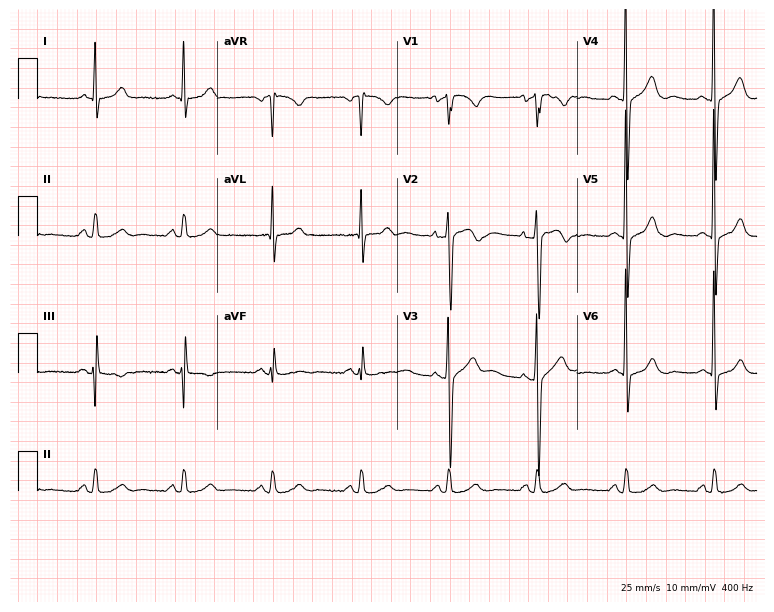
ECG — a male patient, 67 years old. Screened for six findings — first-degree AV block, right bundle branch block (RBBB), left bundle branch block (LBBB), sinus bradycardia, atrial fibrillation (AF), sinus tachycardia — none is recorded.